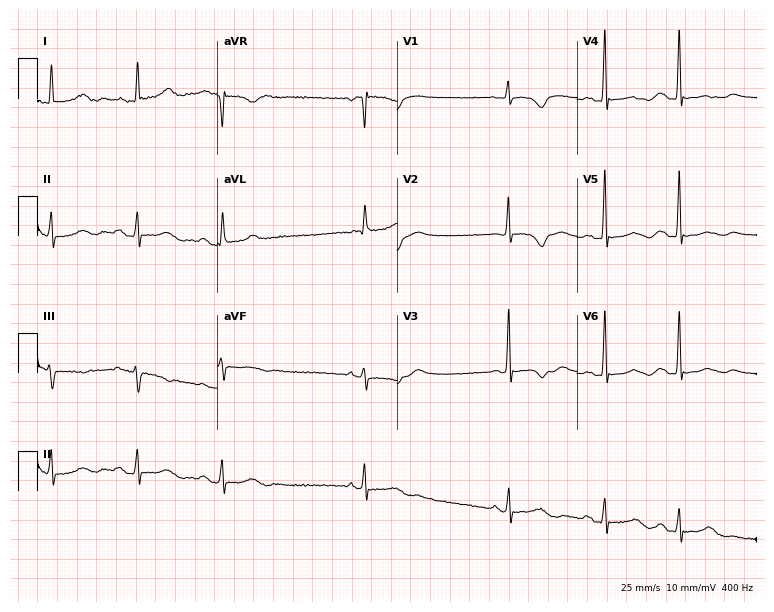
ECG (7.3-second recording at 400 Hz) — an 85-year-old woman. Screened for six findings — first-degree AV block, right bundle branch block, left bundle branch block, sinus bradycardia, atrial fibrillation, sinus tachycardia — none is recorded.